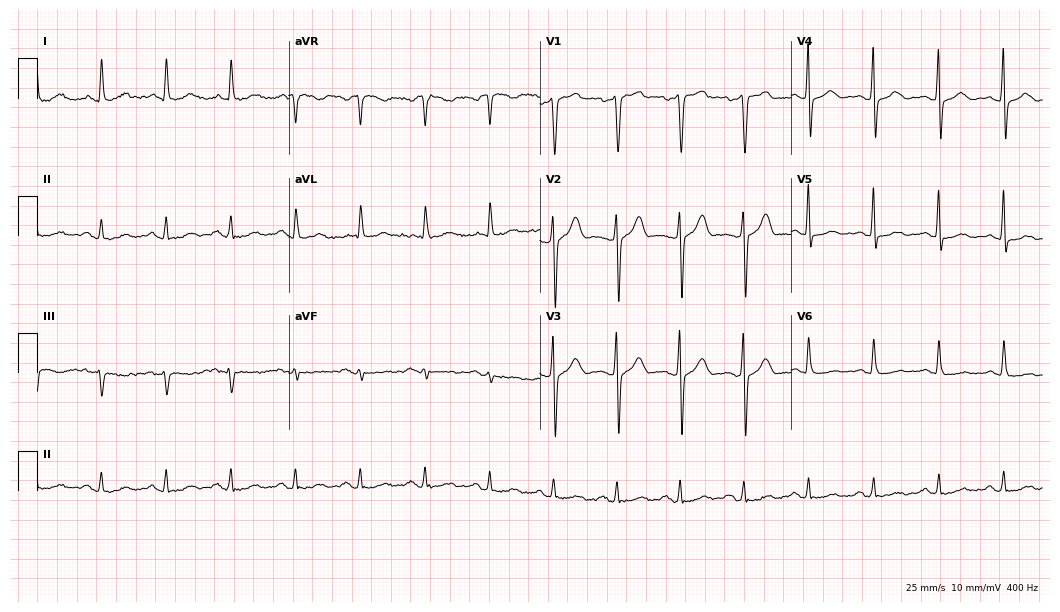
ECG — a male, 55 years old. Labelled as a normal ECG.